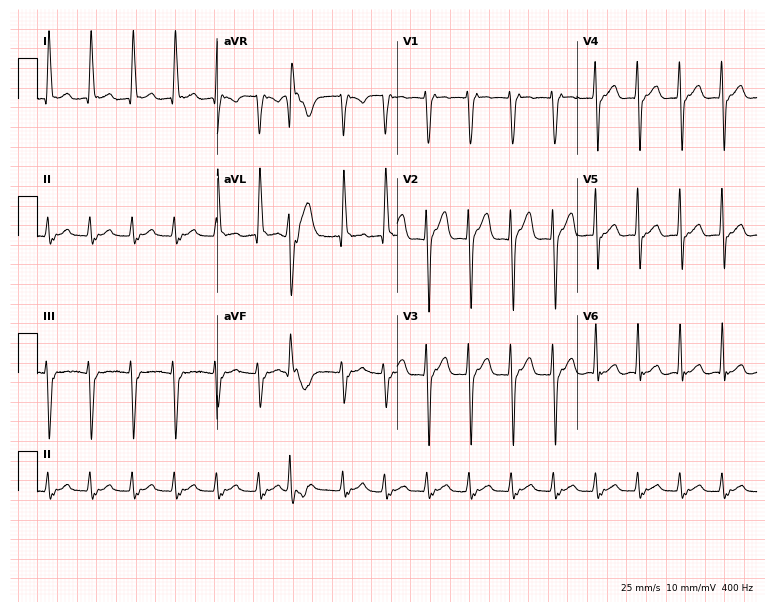
12-lead ECG from a male patient, 83 years old. Screened for six findings — first-degree AV block, right bundle branch block, left bundle branch block, sinus bradycardia, atrial fibrillation, sinus tachycardia — none is recorded.